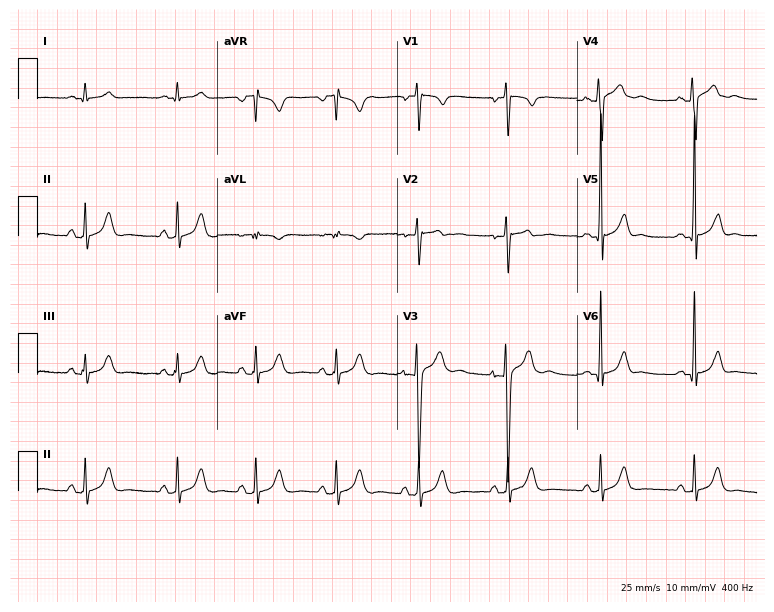
ECG (7.3-second recording at 400 Hz) — a male, 17 years old. Labelled as a normal ECG.